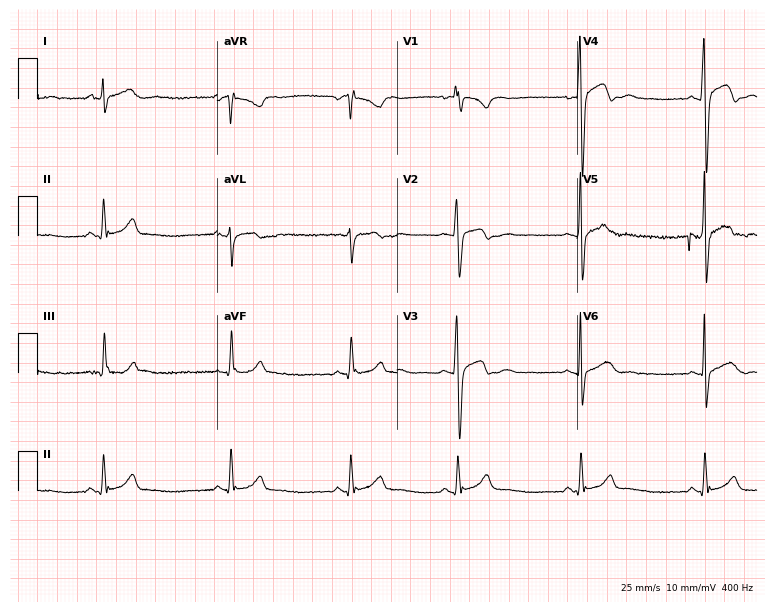
12-lead ECG from a man, 18 years old. Shows sinus bradycardia (a sinus rate of 50 beats per minute or less).